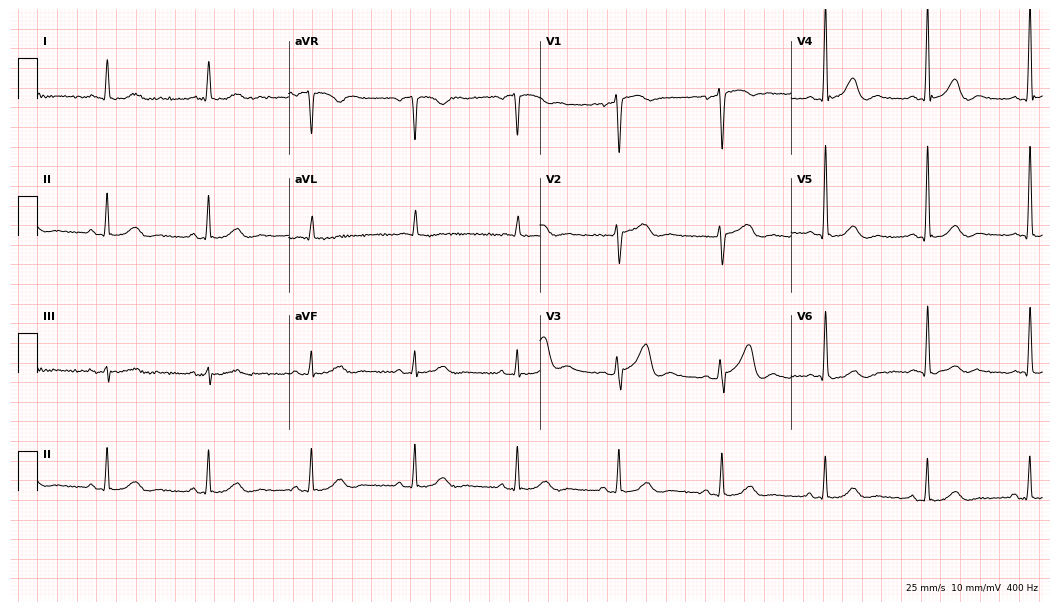
Standard 12-lead ECG recorded from a male patient, 67 years old. Read as a normal ECG.